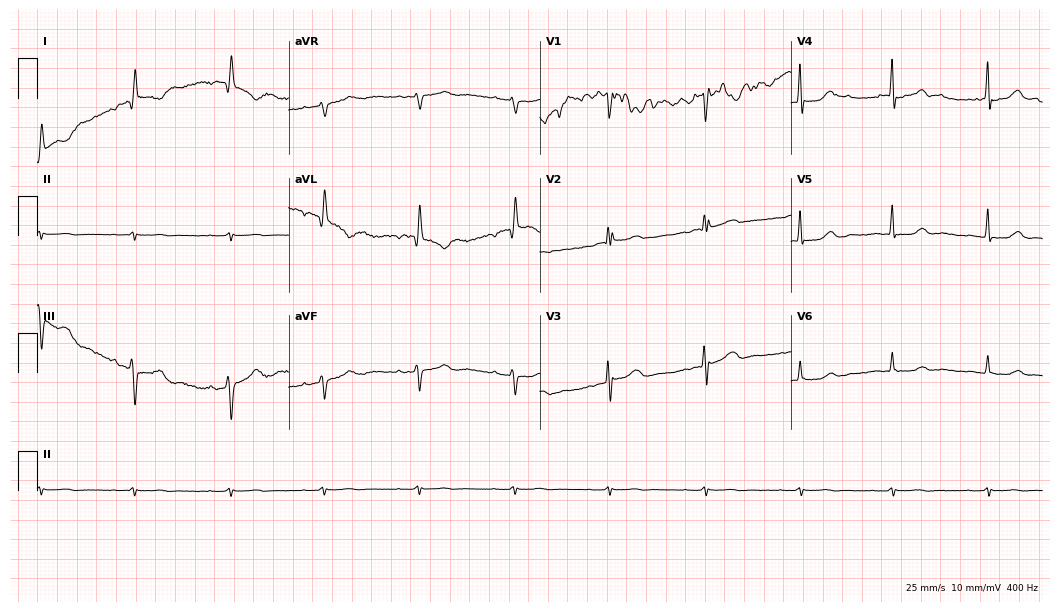
Resting 12-lead electrocardiogram (10.2-second recording at 400 Hz). Patient: a 70-year-old female. None of these six findings is recorded: first-degree AV block, right bundle branch block, left bundle branch block, sinus bradycardia, atrial fibrillation, sinus tachycardia. Other findings, if any, are not listed.